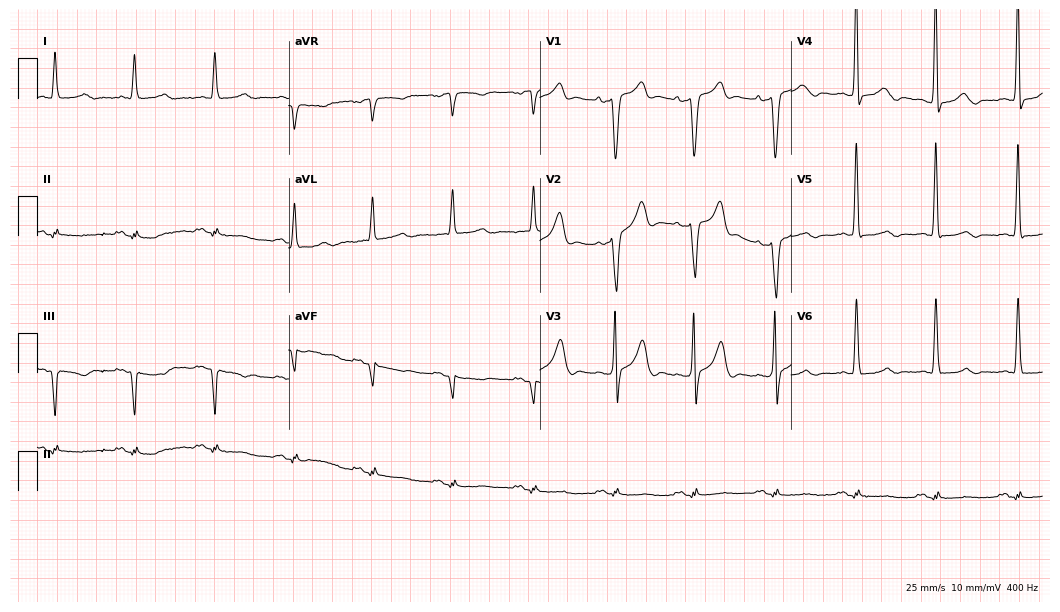
Electrocardiogram, a 78-year-old male patient. Of the six screened findings (first-degree AV block, right bundle branch block, left bundle branch block, sinus bradycardia, atrial fibrillation, sinus tachycardia), none is recorded. Only these six findings were labelled.